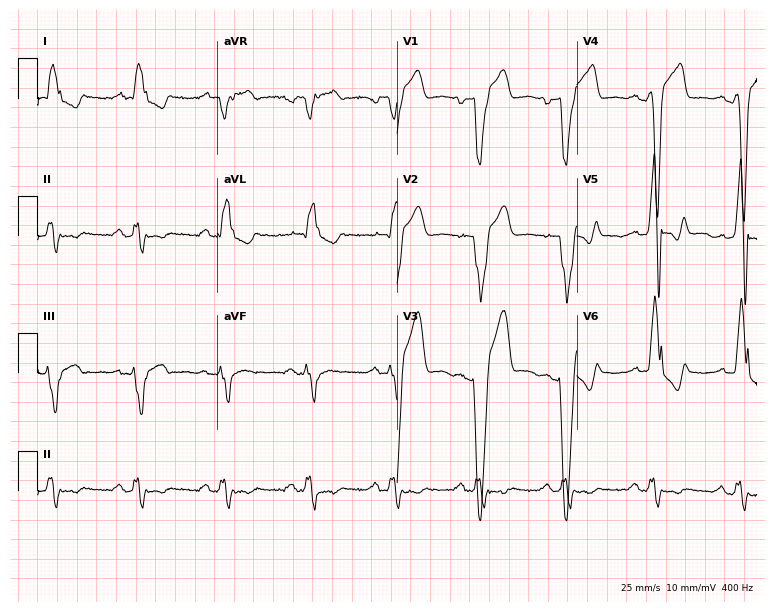
12-lead ECG from a male, 65 years old (7.3-second recording at 400 Hz). Shows left bundle branch block (LBBB).